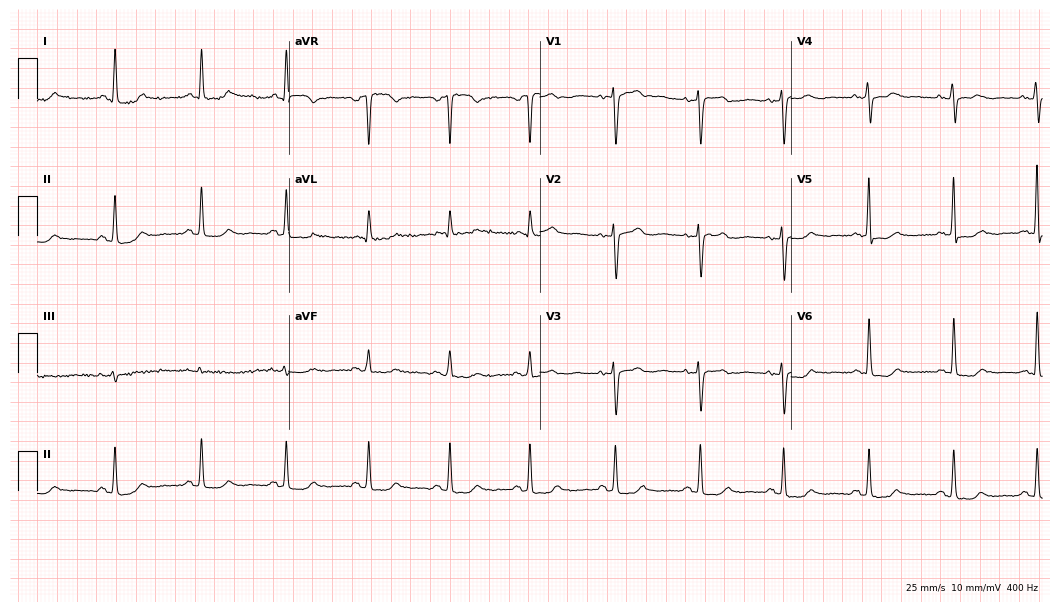
Resting 12-lead electrocardiogram (10.2-second recording at 400 Hz). Patient: a 53-year-old woman. None of these six findings is recorded: first-degree AV block, right bundle branch block (RBBB), left bundle branch block (LBBB), sinus bradycardia, atrial fibrillation (AF), sinus tachycardia. Findings outside these six are not listed.